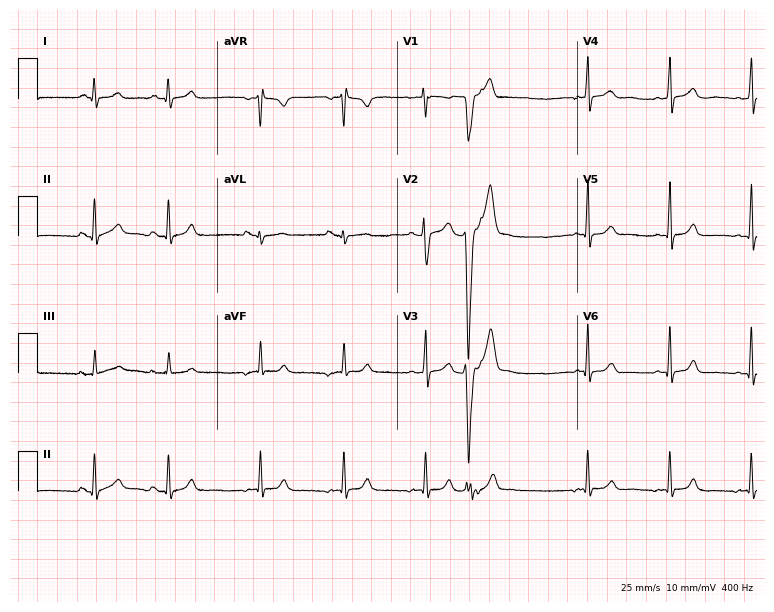
Resting 12-lead electrocardiogram (7.3-second recording at 400 Hz). Patient: a 20-year-old female. None of these six findings is recorded: first-degree AV block, right bundle branch block, left bundle branch block, sinus bradycardia, atrial fibrillation, sinus tachycardia.